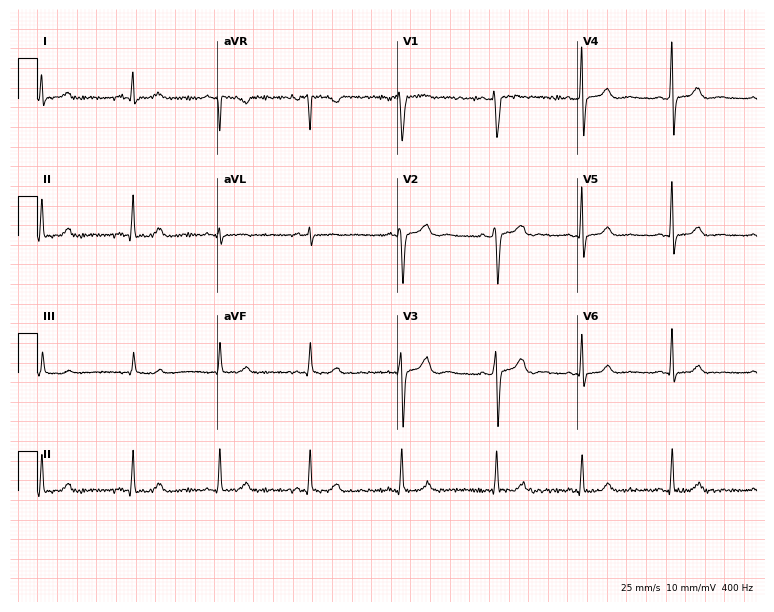
12-lead ECG from a woman, 39 years old. Labelled as a normal ECG.